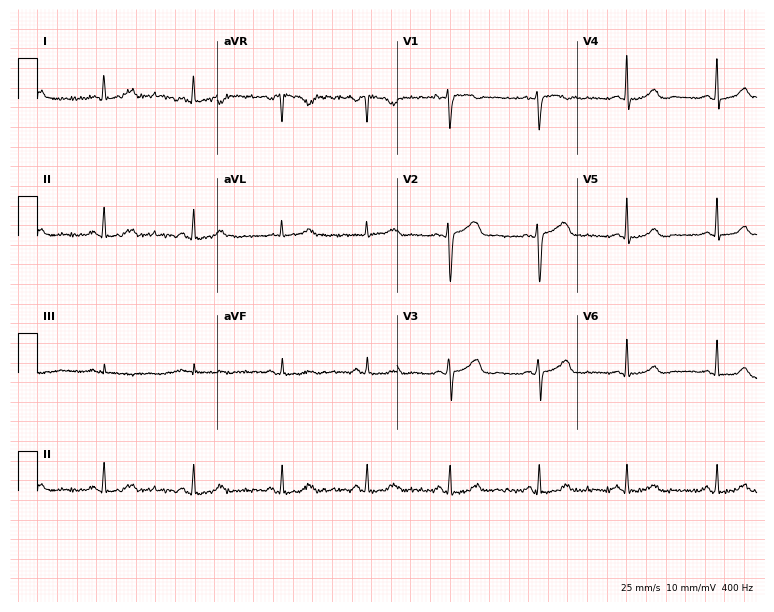
Standard 12-lead ECG recorded from a 46-year-old woman (7.3-second recording at 400 Hz). Read as a normal ECG.